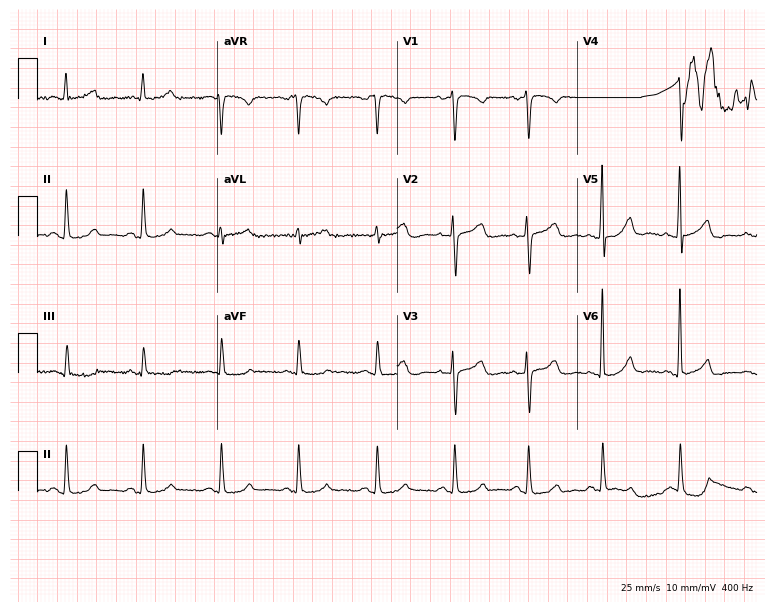
ECG (7.3-second recording at 400 Hz) — a female patient, 50 years old. Screened for six findings — first-degree AV block, right bundle branch block, left bundle branch block, sinus bradycardia, atrial fibrillation, sinus tachycardia — none is recorded. Other findings, if any, are not listed.